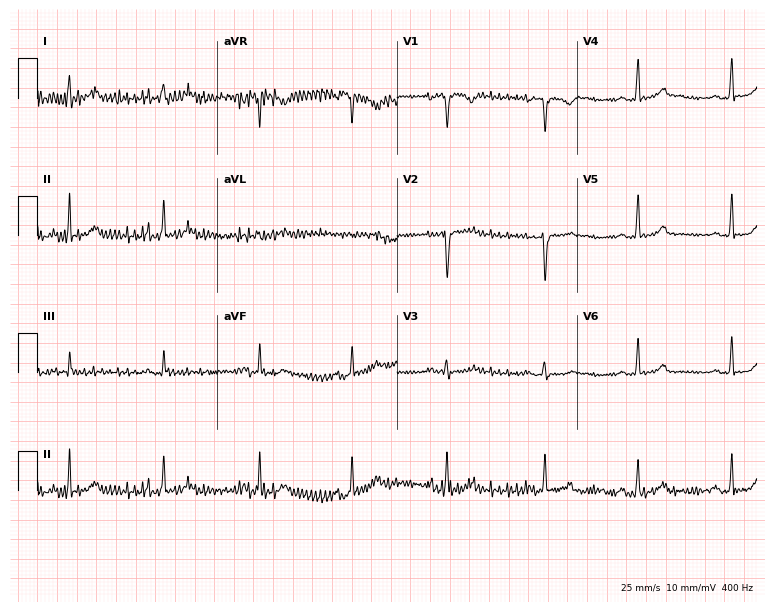
Standard 12-lead ECG recorded from a female, 35 years old (7.3-second recording at 400 Hz). Read as a normal ECG.